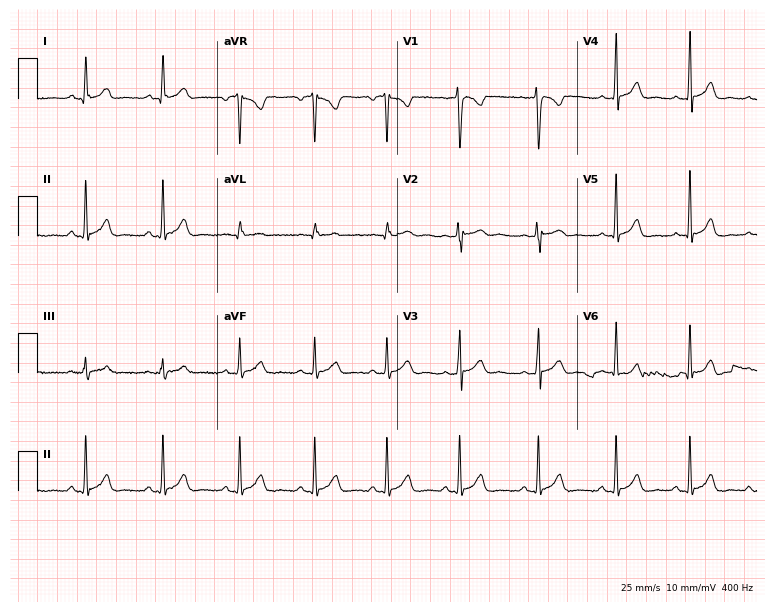
Resting 12-lead electrocardiogram. Patient: a female, 22 years old. Read as a normal ECG.